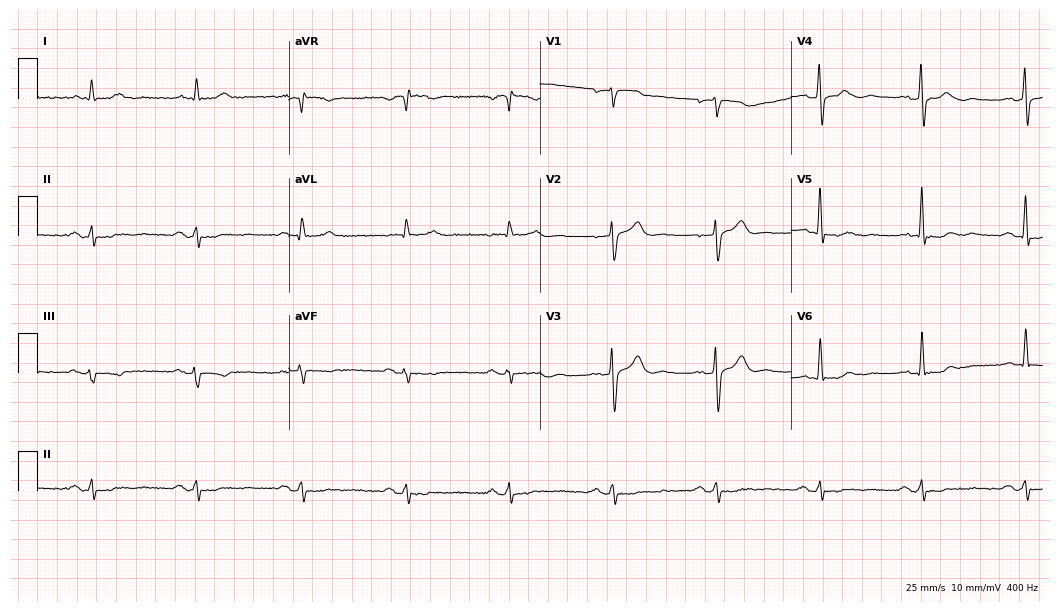
Resting 12-lead electrocardiogram (10.2-second recording at 400 Hz). Patient: a male, 77 years old. None of these six findings is recorded: first-degree AV block, right bundle branch block, left bundle branch block, sinus bradycardia, atrial fibrillation, sinus tachycardia. Findings outside these six are not listed.